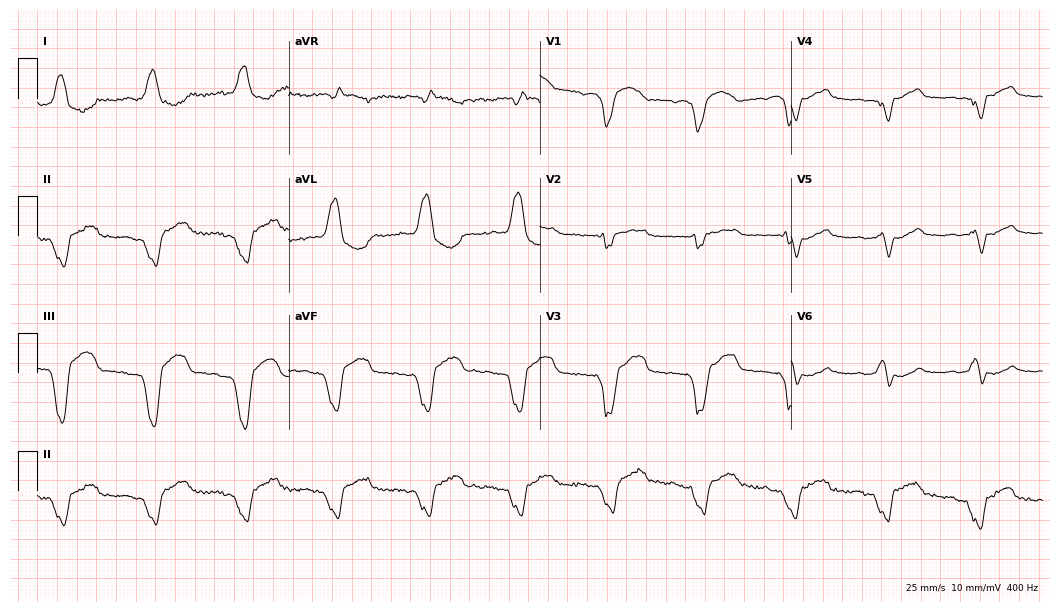
12-lead ECG from a male patient, 80 years old (10.2-second recording at 400 Hz). No first-degree AV block, right bundle branch block, left bundle branch block, sinus bradycardia, atrial fibrillation or sinus tachycardia recorded for this tracing.